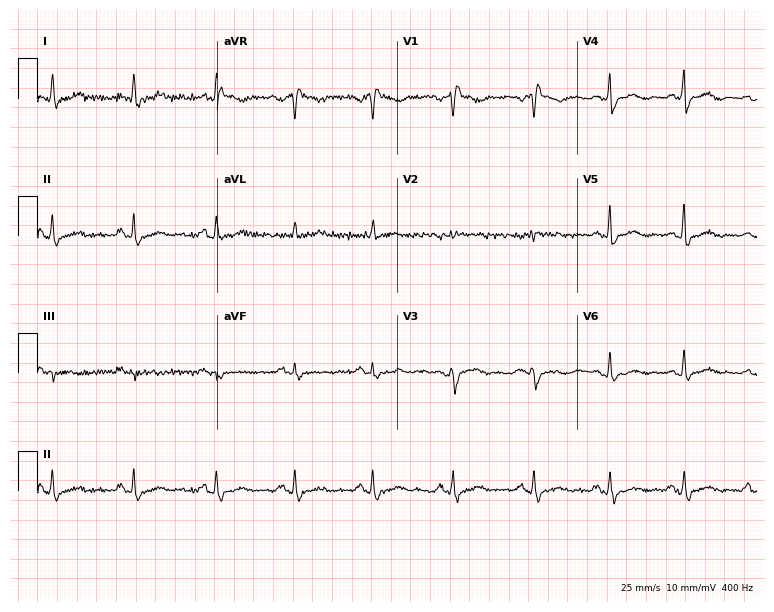
Resting 12-lead electrocardiogram. Patient: a 57-year-old female. The tracing shows right bundle branch block.